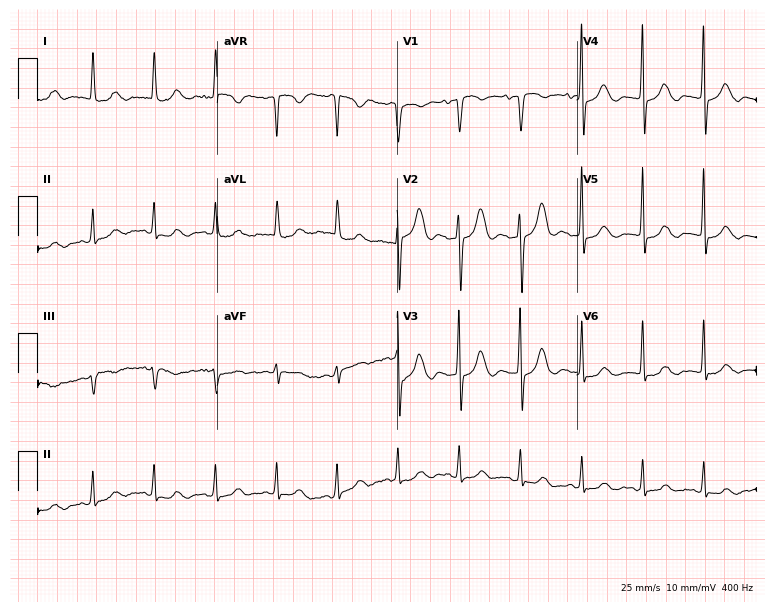
Standard 12-lead ECG recorded from a 71-year-old female (7.3-second recording at 400 Hz). None of these six findings is recorded: first-degree AV block, right bundle branch block, left bundle branch block, sinus bradycardia, atrial fibrillation, sinus tachycardia.